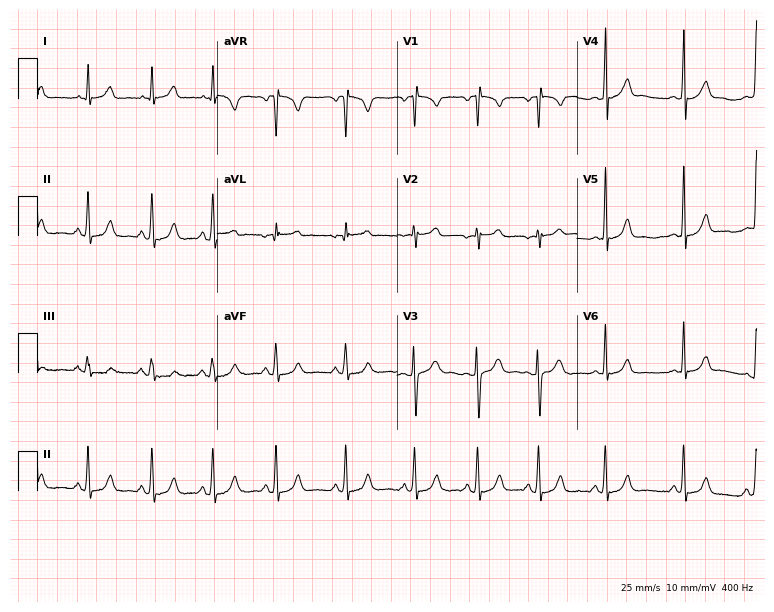
Electrocardiogram, a 20-year-old female. Of the six screened findings (first-degree AV block, right bundle branch block, left bundle branch block, sinus bradycardia, atrial fibrillation, sinus tachycardia), none is recorded.